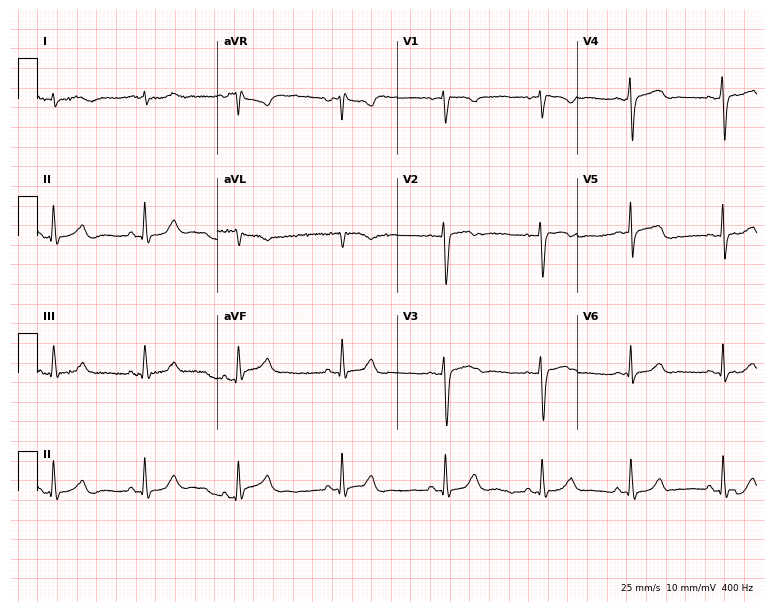
Resting 12-lead electrocardiogram (7.3-second recording at 400 Hz). Patient: a 58-year-old male. Read as a normal ECG.